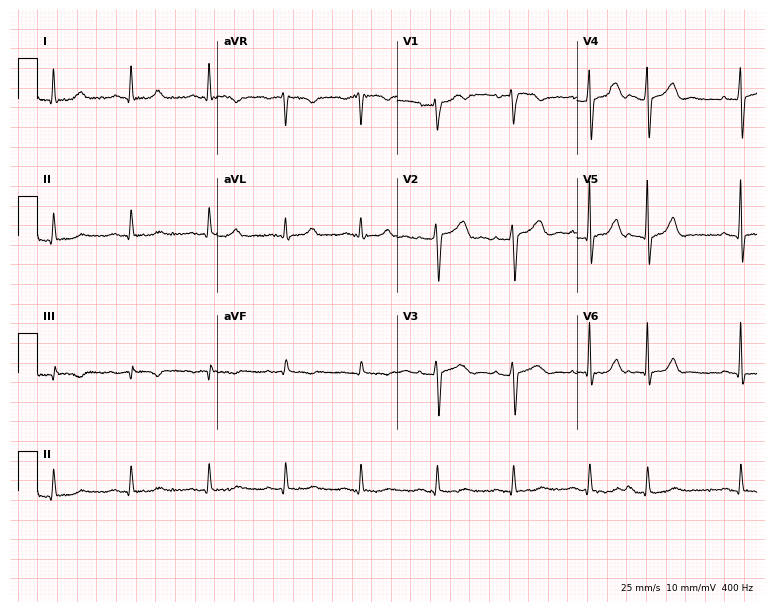
12-lead ECG (7.3-second recording at 400 Hz) from a man, 82 years old. Screened for six findings — first-degree AV block, right bundle branch block (RBBB), left bundle branch block (LBBB), sinus bradycardia, atrial fibrillation (AF), sinus tachycardia — none is recorded. Findings outside these six are not listed.